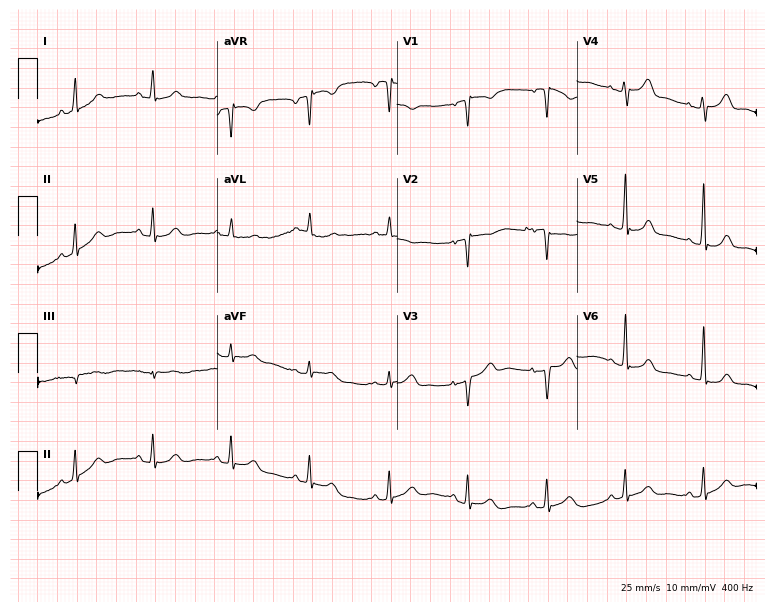
12-lead ECG from a woman, 34 years old (7.3-second recording at 400 Hz). No first-degree AV block, right bundle branch block, left bundle branch block, sinus bradycardia, atrial fibrillation or sinus tachycardia recorded for this tracing. Findings outside these six are not listed.